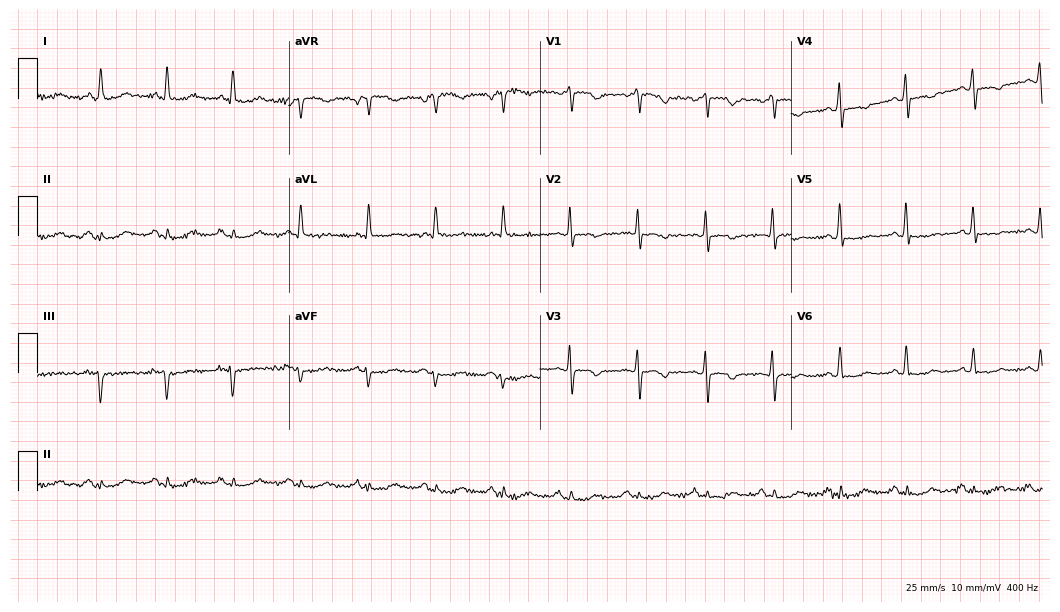
Standard 12-lead ECG recorded from a 64-year-old woman (10.2-second recording at 400 Hz). None of these six findings is recorded: first-degree AV block, right bundle branch block (RBBB), left bundle branch block (LBBB), sinus bradycardia, atrial fibrillation (AF), sinus tachycardia. Other findings, if any, are not listed.